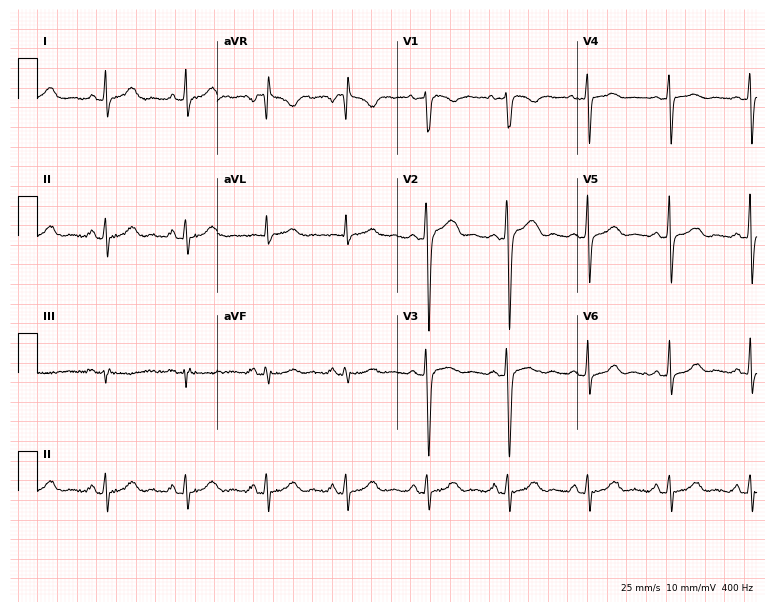
Standard 12-lead ECG recorded from a 53-year-old female patient (7.3-second recording at 400 Hz). Read as a normal ECG.